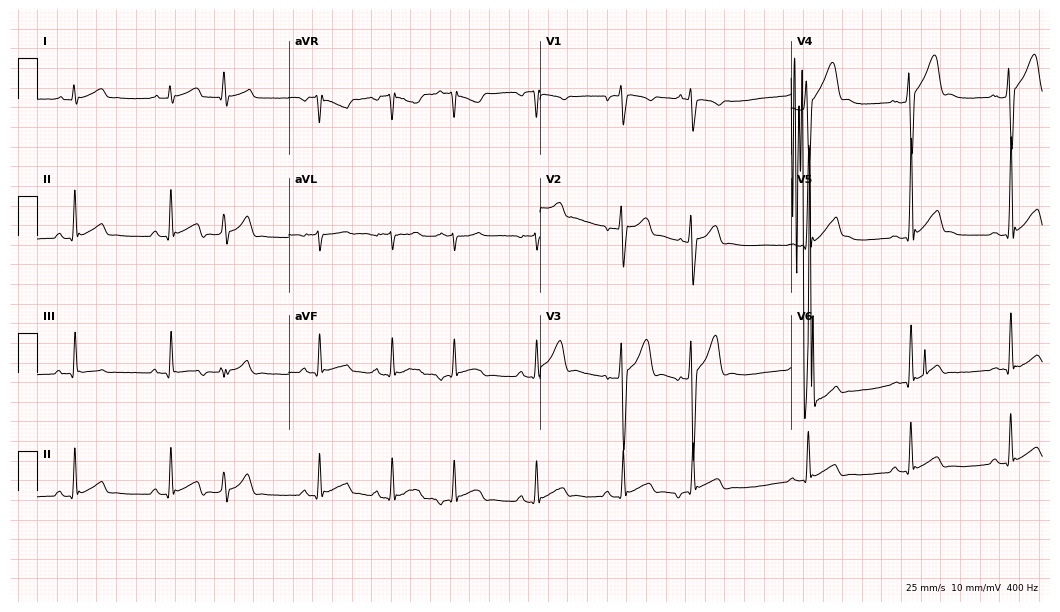
ECG (10.2-second recording at 400 Hz) — a male patient, 19 years old. Labelled as a normal ECG.